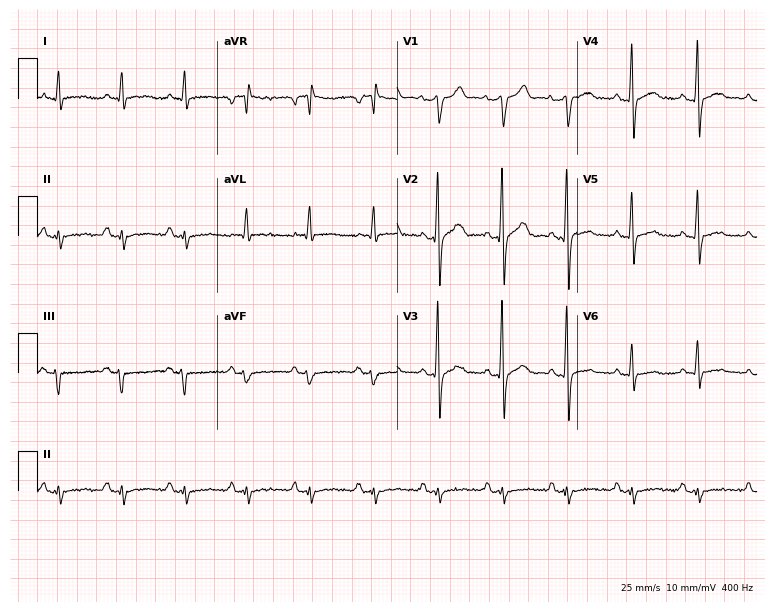
ECG (7.3-second recording at 400 Hz) — a 57-year-old male patient. Screened for six findings — first-degree AV block, right bundle branch block (RBBB), left bundle branch block (LBBB), sinus bradycardia, atrial fibrillation (AF), sinus tachycardia — none is recorded. Findings outside these six are not listed.